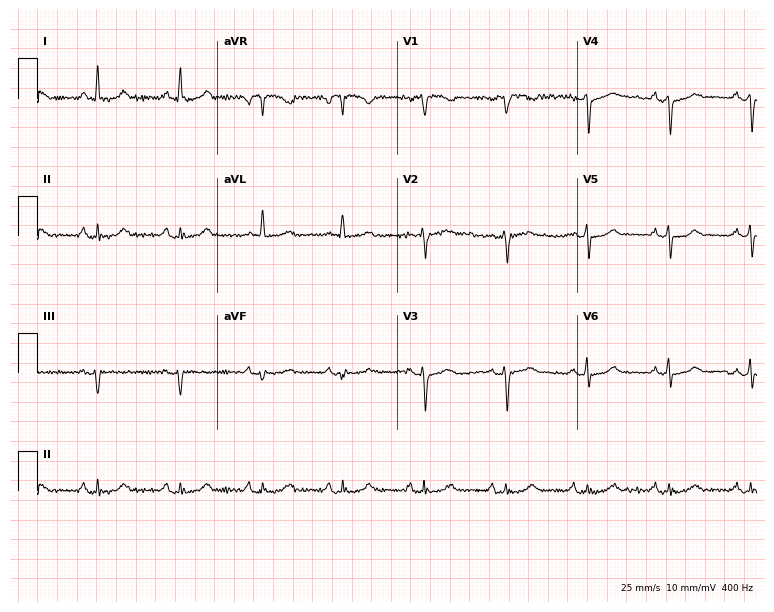
Electrocardiogram, a female patient, 68 years old. Of the six screened findings (first-degree AV block, right bundle branch block (RBBB), left bundle branch block (LBBB), sinus bradycardia, atrial fibrillation (AF), sinus tachycardia), none is recorded. Findings outside these six are not listed.